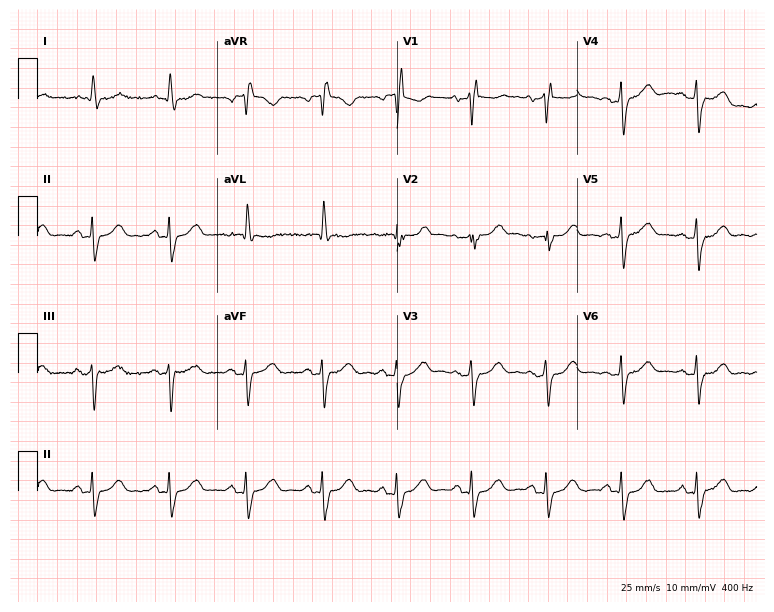
Electrocardiogram (7.3-second recording at 400 Hz), a female patient, 76 years old. Interpretation includes right bundle branch block (RBBB).